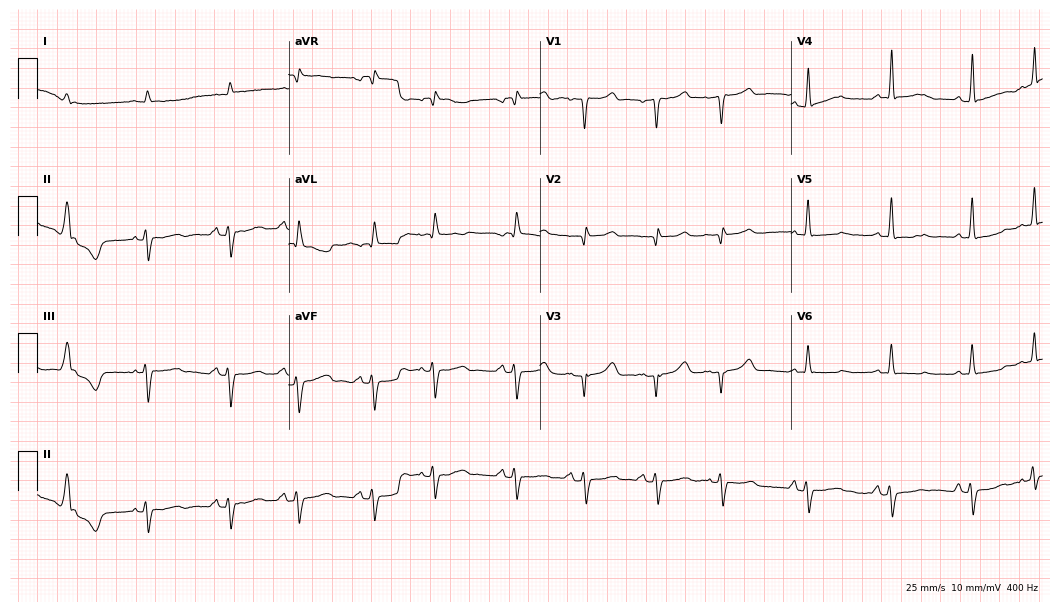
12-lead ECG (10.2-second recording at 400 Hz) from an 83-year-old man. Screened for six findings — first-degree AV block, right bundle branch block (RBBB), left bundle branch block (LBBB), sinus bradycardia, atrial fibrillation (AF), sinus tachycardia — none is recorded. Other findings, if any, are not listed.